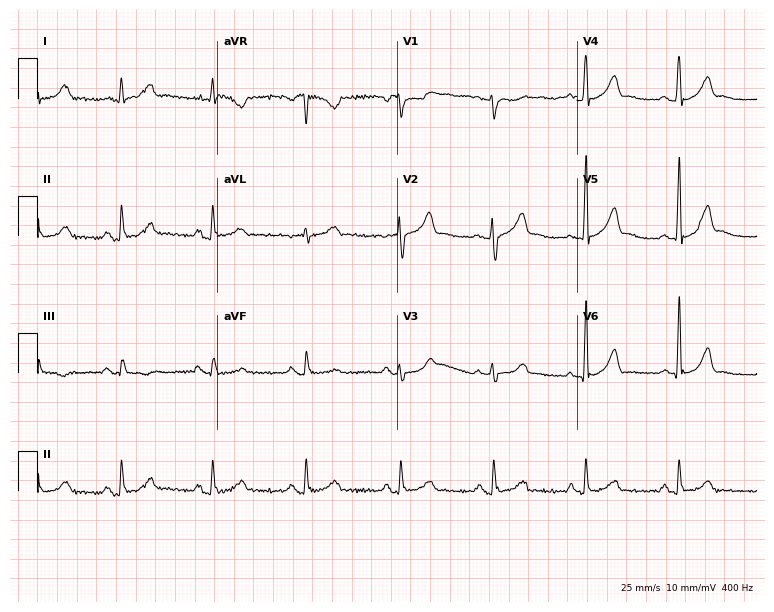
12-lead ECG (7.3-second recording at 400 Hz) from a male patient, 42 years old. Labelled as a normal ECG.